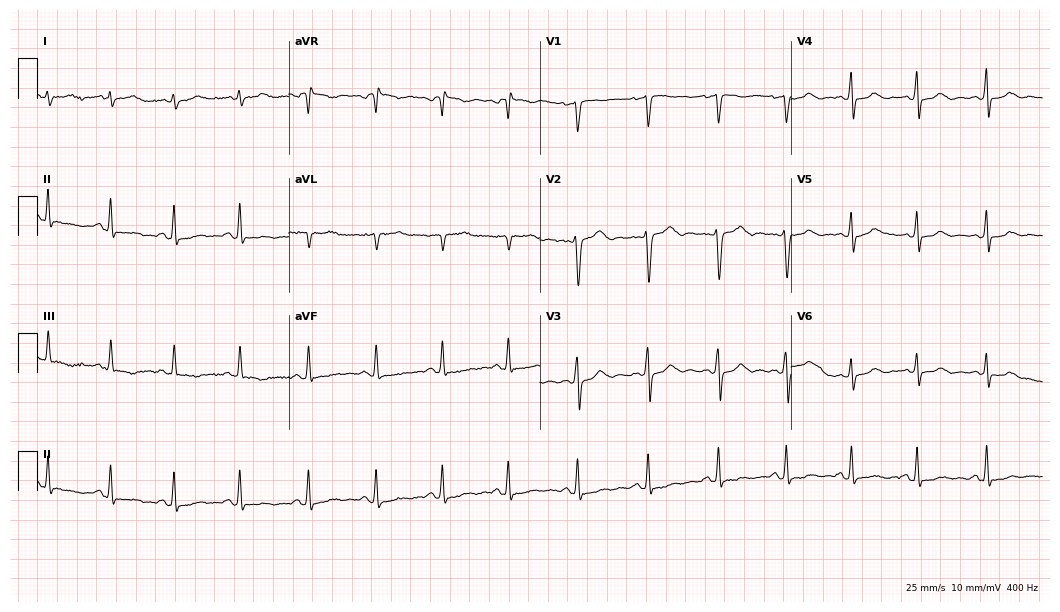
Standard 12-lead ECG recorded from a 24-year-old female. None of these six findings is recorded: first-degree AV block, right bundle branch block, left bundle branch block, sinus bradycardia, atrial fibrillation, sinus tachycardia. Findings outside these six are not listed.